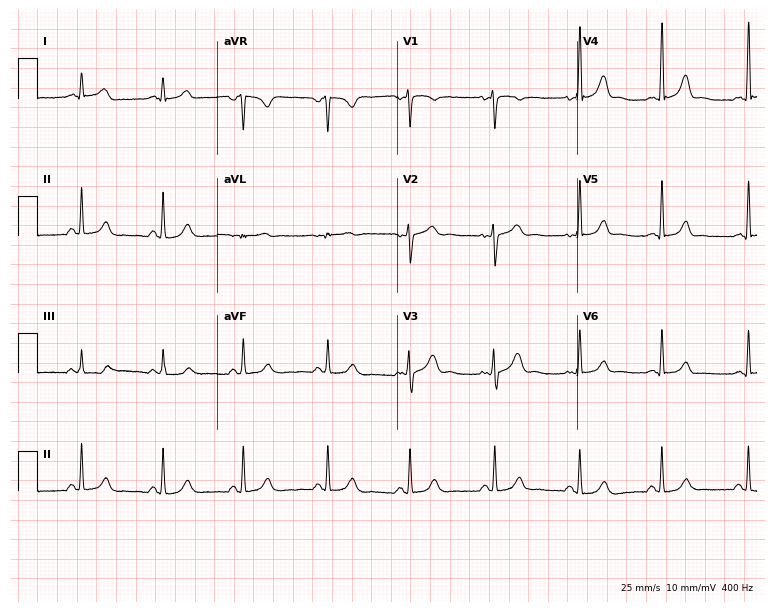
12-lead ECG from a 42-year-old female. No first-degree AV block, right bundle branch block, left bundle branch block, sinus bradycardia, atrial fibrillation or sinus tachycardia recorded for this tracing.